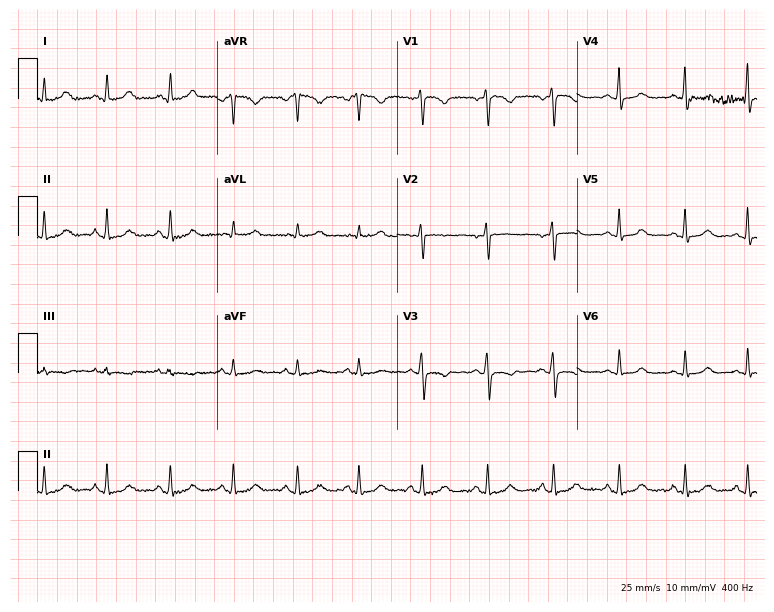
Resting 12-lead electrocardiogram. Patient: a 45-year-old female. Read as a normal ECG.